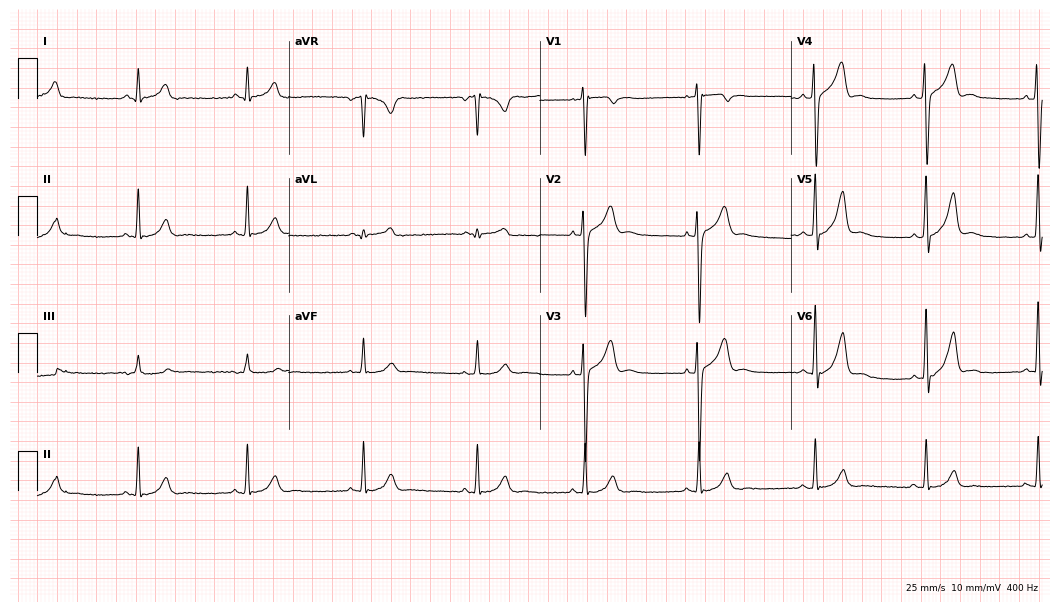
12-lead ECG from a 31-year-old male patient. Recorded interpretation: within normal limits.